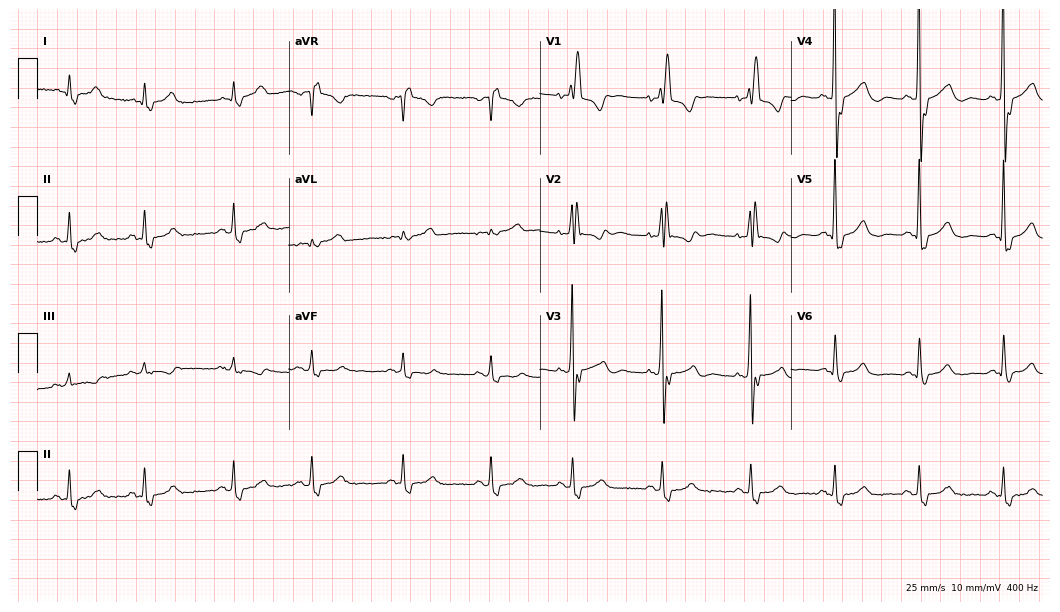
Resting 12-lead electrocardiogram. Patient: a man, 83 years old. The tracing shows right bundle branch block.